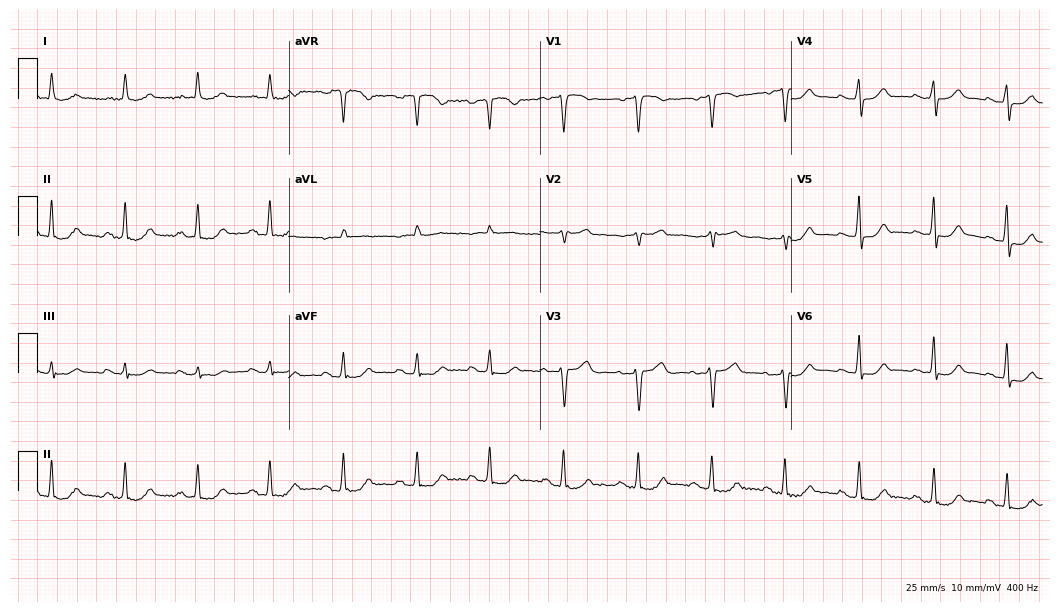
Electrocardiogram (10.2-second recording at 400 Hz), a female patient, 68 years old. Of the six screened findings (first-degree AV block, right bundle branch block, left bundle branch block, sinus bradycardia, atrial fibrillation, sinus tachycardia), none is recorded. Only these six findings were labelled.